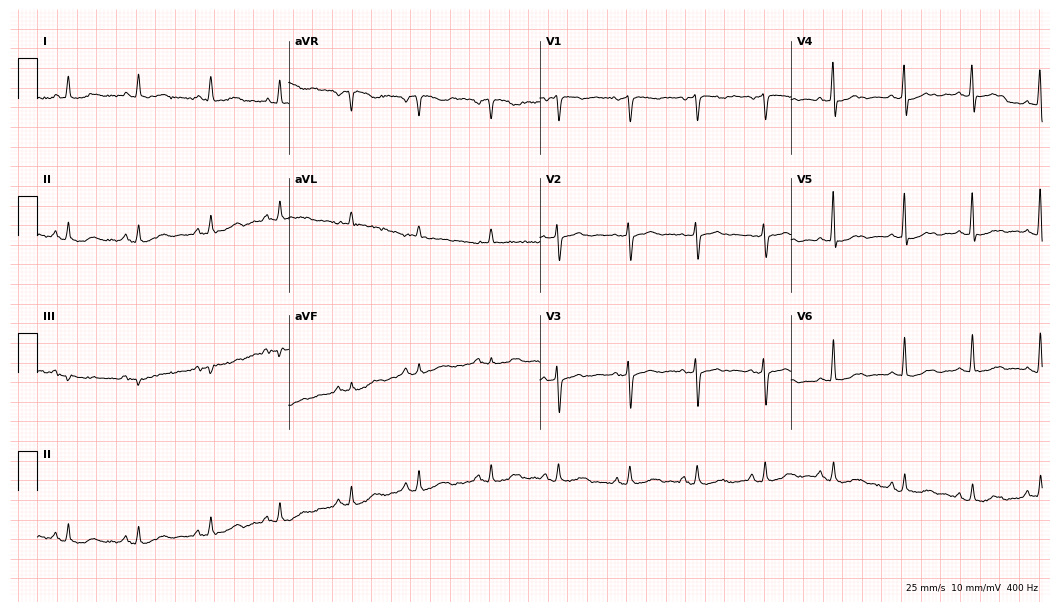
Standard 12-lead ECG recorded from a female, 77 years old. None of these six findings is recorded: first-degree AV block, right bundle branch block, left bundle branch block, sinus bradycardia, atrial fibrillation, sinus tachycardia.